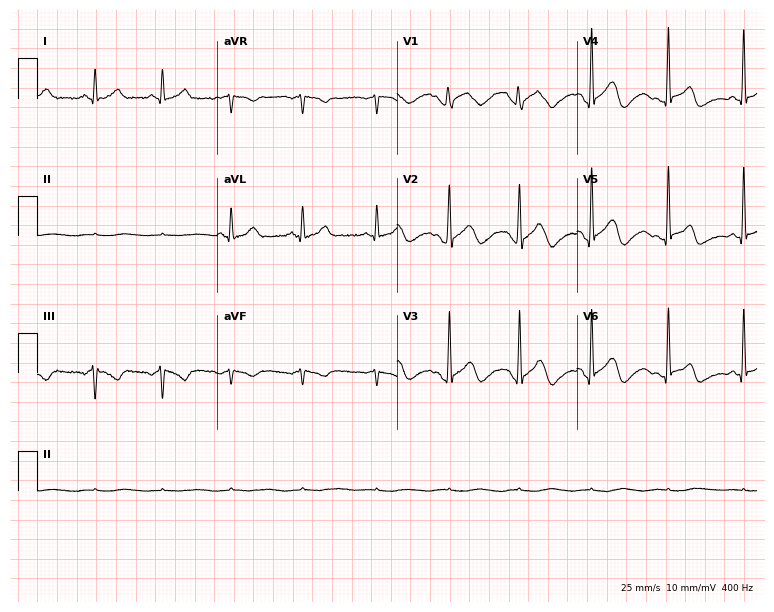
Resting 12-lead electrocardiogram (7.3-second recording at 400 Hz). Patient: a 38-year-old female. None of these six findings is recorded: first-degree AV block, right bundle branch block, left bundle branch block, sinus bradycardia, atrial fibrillation, sinus tachycardia. Only these six findings were labelled.